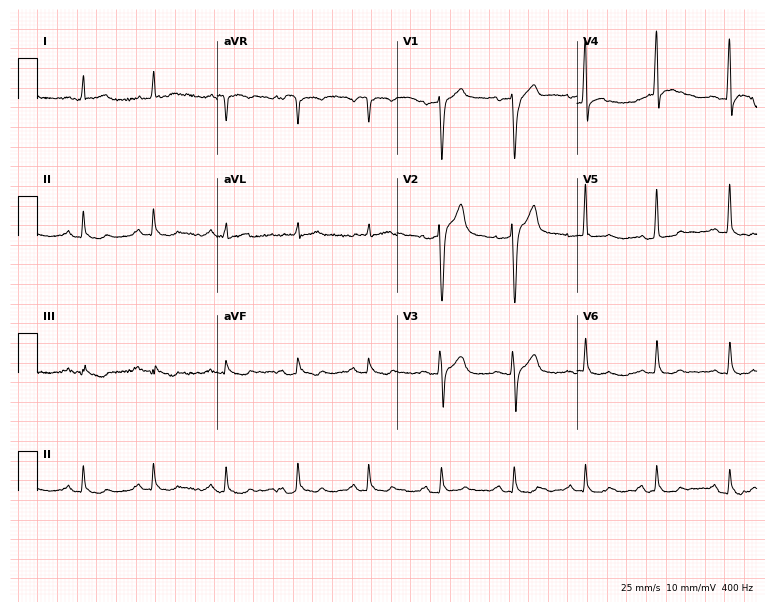
12-lead ECG from a 51-year-old male. Recorded interpretation: within normal limits.